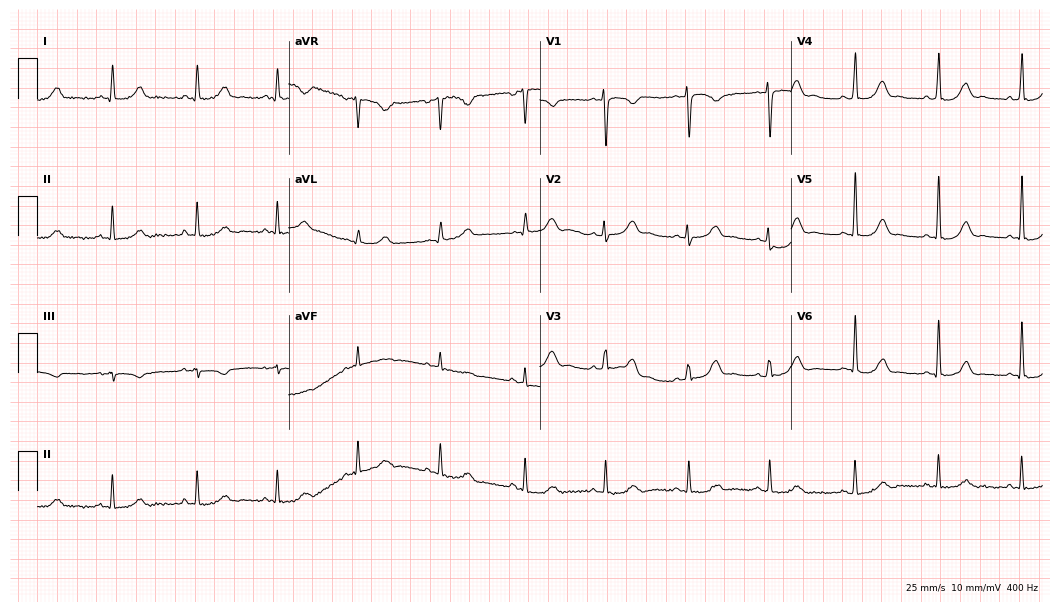
Standard 12-lead ECG recorded from a 33-year-old female (10.2-second recording at 400 Hz). Read as a normal ECG.